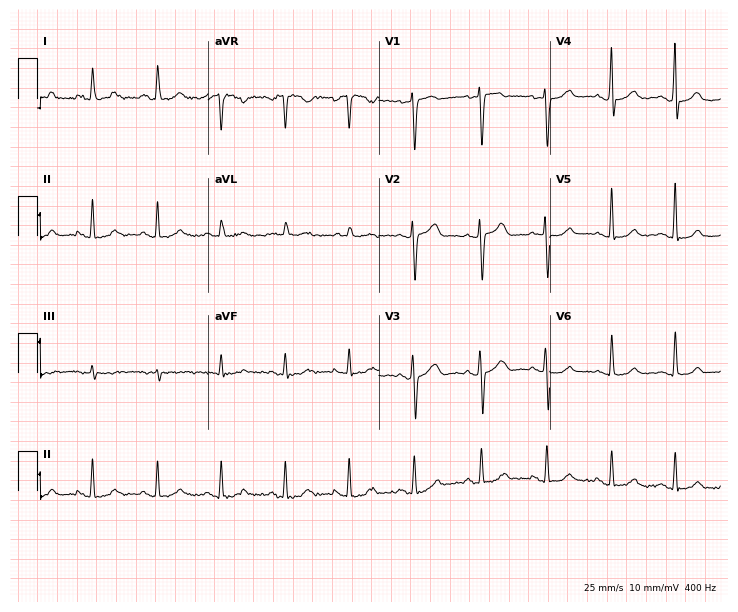
Electrocardiogram, a 48-year-old woman. Of the six screened findings (first-degree AV block, right bundle branch block (RBBB), left bundle branch block (LBBB), sinus bradycardia, atrial fibrillation (AF), sinus tachycardia), none is recorded.